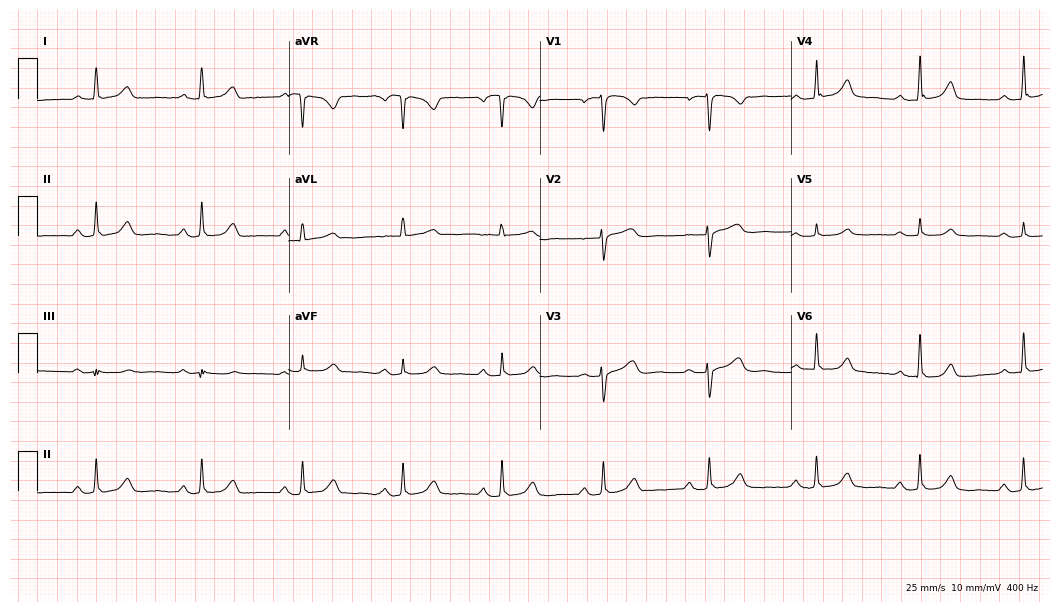
ECG (10.2-second recording at 400 Hz) — a woman, 63 years old. Labelled as a normal ECG.